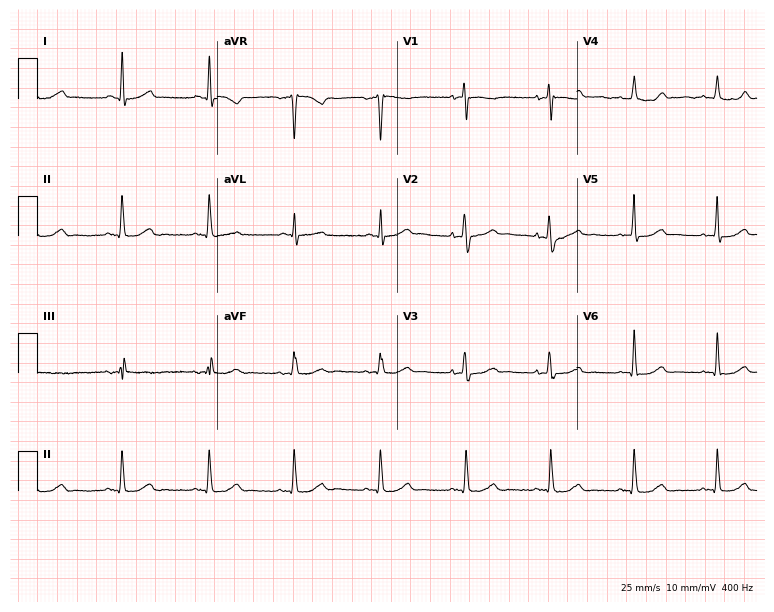
Electrocardiogram, a woman, 69 years old. Overall reading on record: normal ECG.